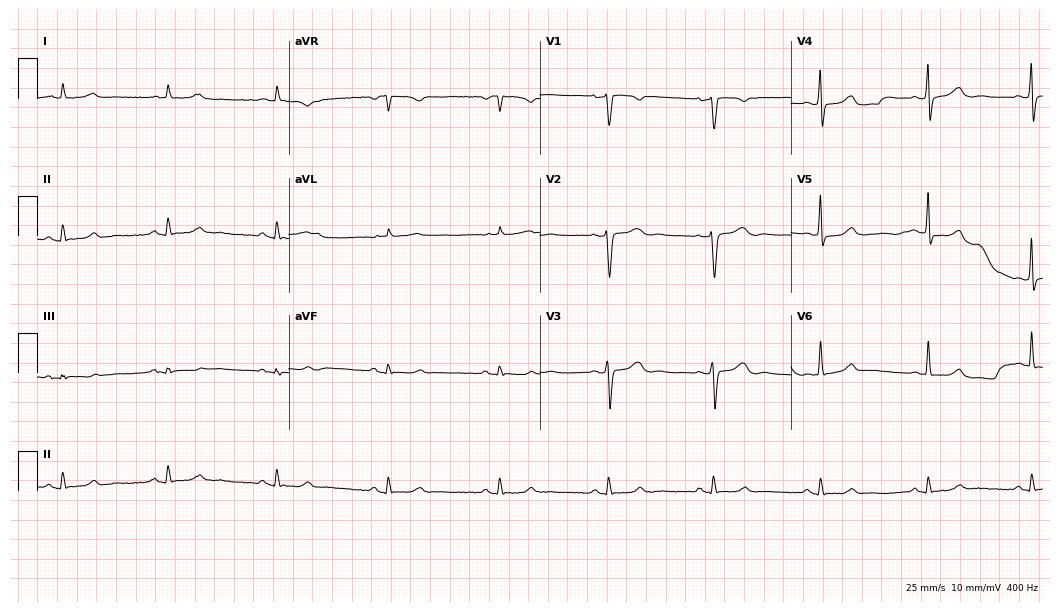
12-lead ECG from a woman, 56 years old (10.2-second recording at 400 Hz). Recorded interpretation: within normal limits.